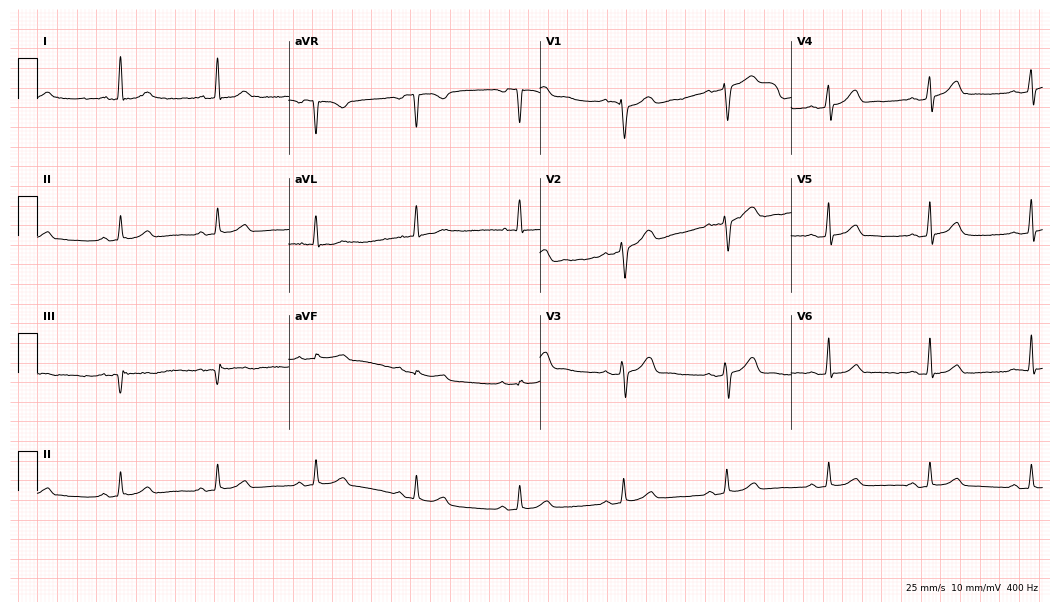
ECG — a male, 51 years old. Labelled as a normal ECG.